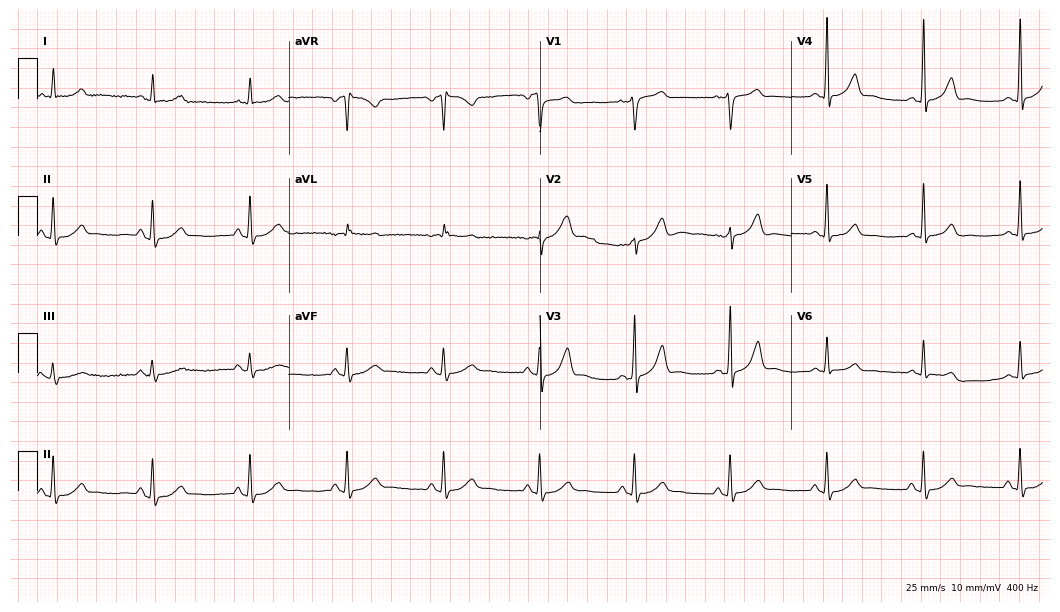
ECG (10.2-second recording at 400 Hz) — a male, 59 years old. Screened for six findings — first-degree AV block, right bundle branch block, left bundle branch block, sinus bradycardia, atrial fibrillation, sinus tachycardia — none is recorded.